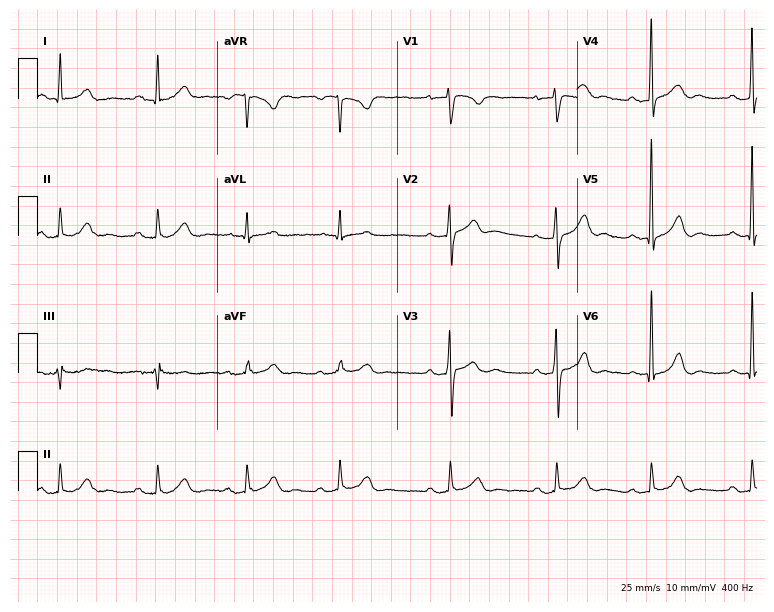
Standard 12-lead ECG recorded from a 25-year-old male. Read as a normal ECG.